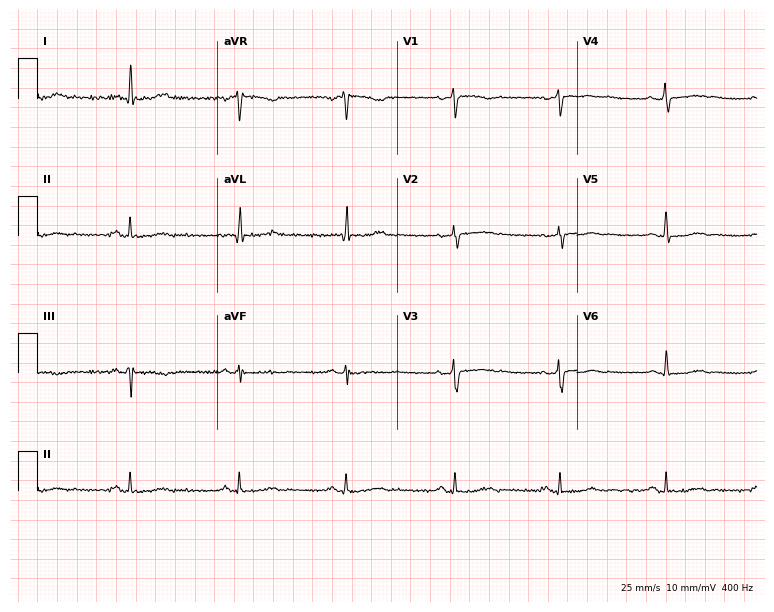
Electrocardiogram (7.3-second recording at 400 Hz), a 66-year-old woman. Overall reading on record: normal ECG.